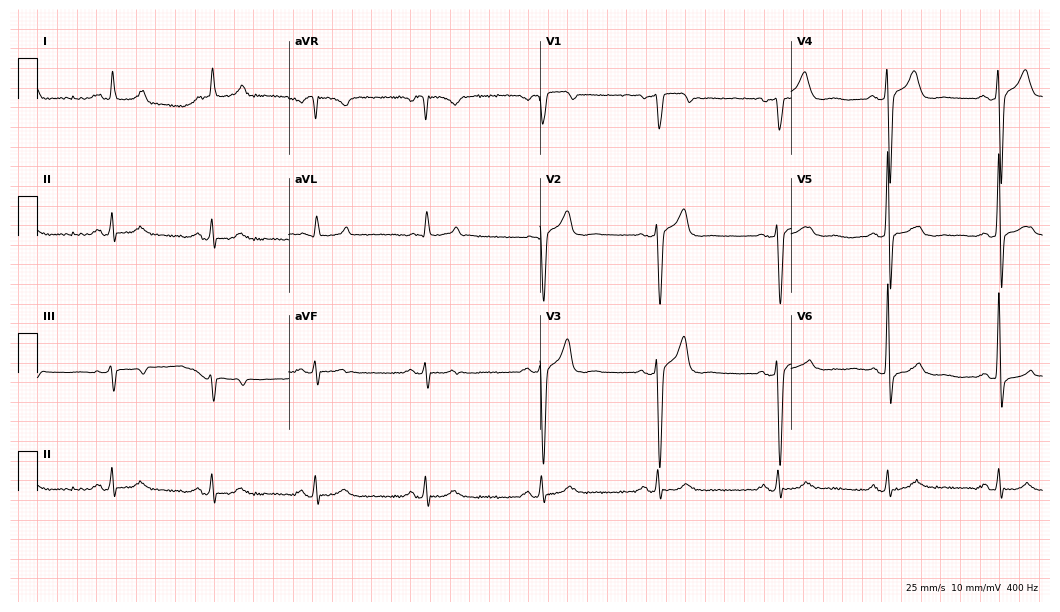
Resting 12-lead electrocardiogram (10.2-second recording at 400 Hz). Patient: a man, 48 years old. None of these six findings is recorded: first-degree AV block, right bundle branch block, left bundle branch block, sinus bradycardia, atrial fibrillation, sinus tachycardia. Only these six findings were labelled.